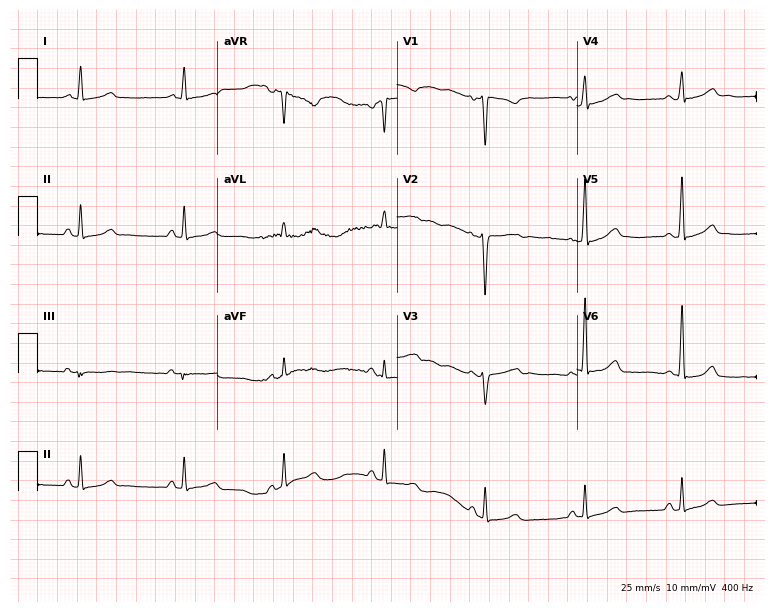
ECG — a 31-year-old female. Screened for six findings — first-degree AV block, right bundle branch block, left bundle branch block, sinus bradycardia, atrial fibrillation, sinus tachycardia — none is recorded.